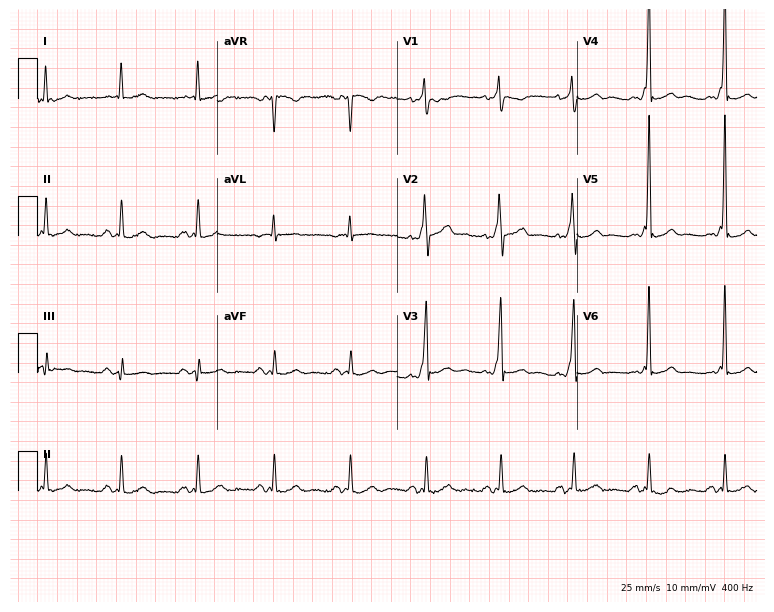
Standard 12-lead ECG recorded from a man, 48 years old (7.3-second recording at 400 Hz). None of these six findings is recorded: first-degree AV block, right bundle branch block (RBBB), left bundle branch block (LBBB), sinus bradycardia, atrial fibrillation (AF), sinus tachycardia. Findings outside these six are not listed.